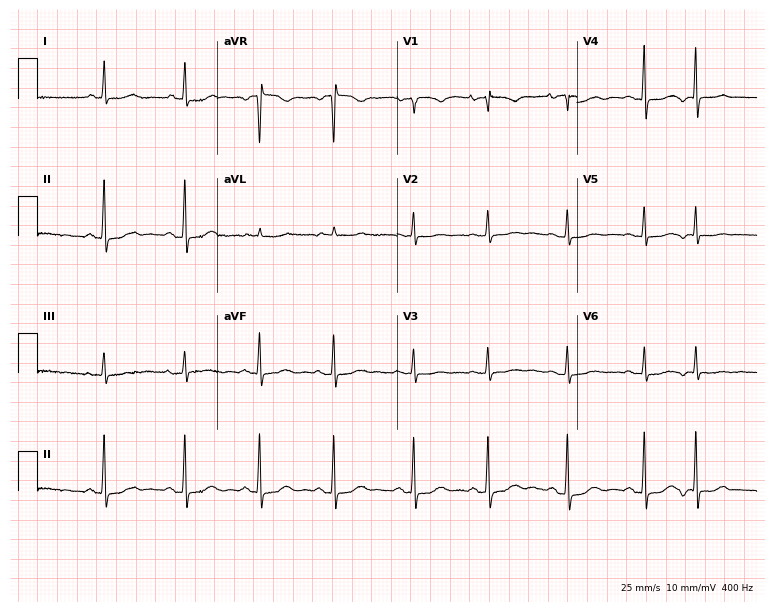
ECG (7.3-second recording at 400 Hz) — an 81-year-old woman. Labelled as a normal ECG.